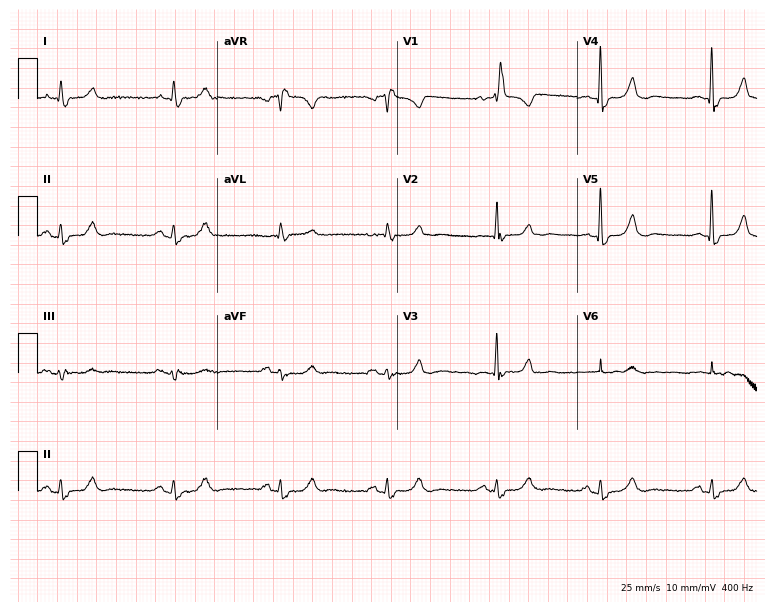
12-lead ECG from a female, 81 years old. Findings include right bundle branch block (RBBB).